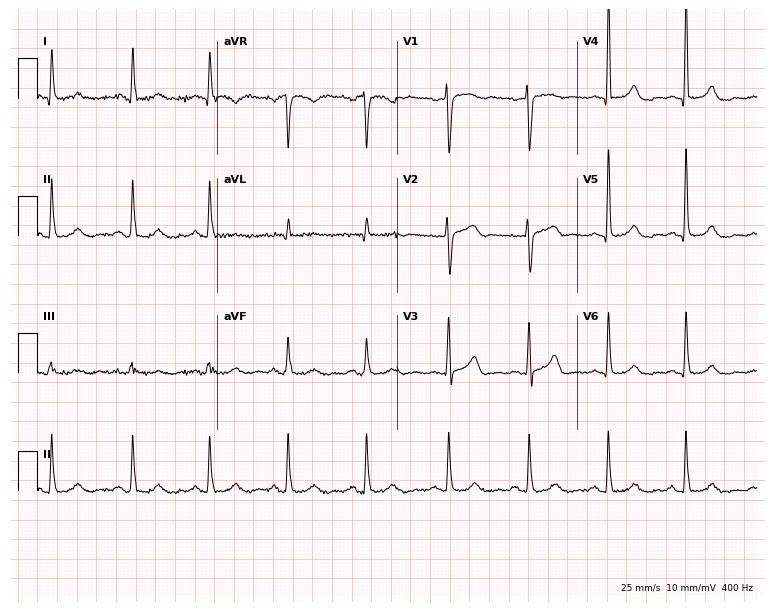
ECG (7.3-second recording at 400 Hz) — a female patient, 68 years old. Labelled as a normal ECG.